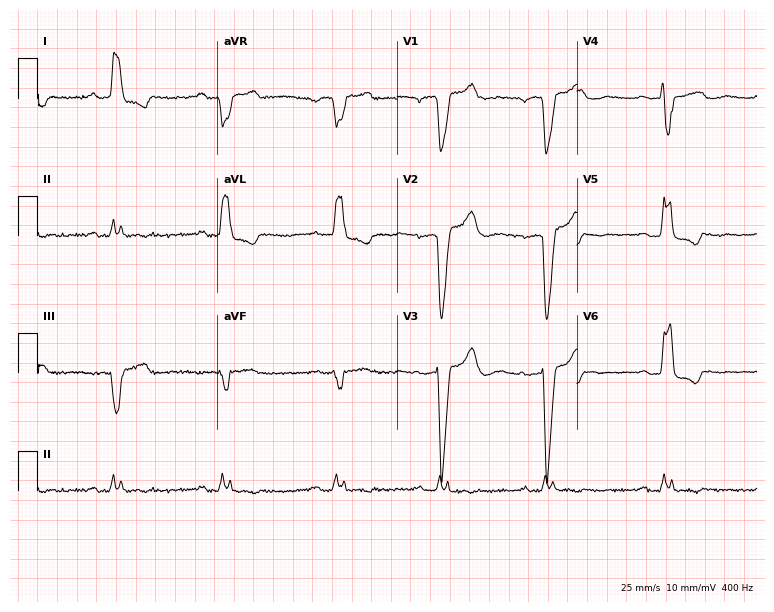
12-lead ECG from a female patient, 40 years old. Shows first-degree AV block, left bundle branch block (LBBB).